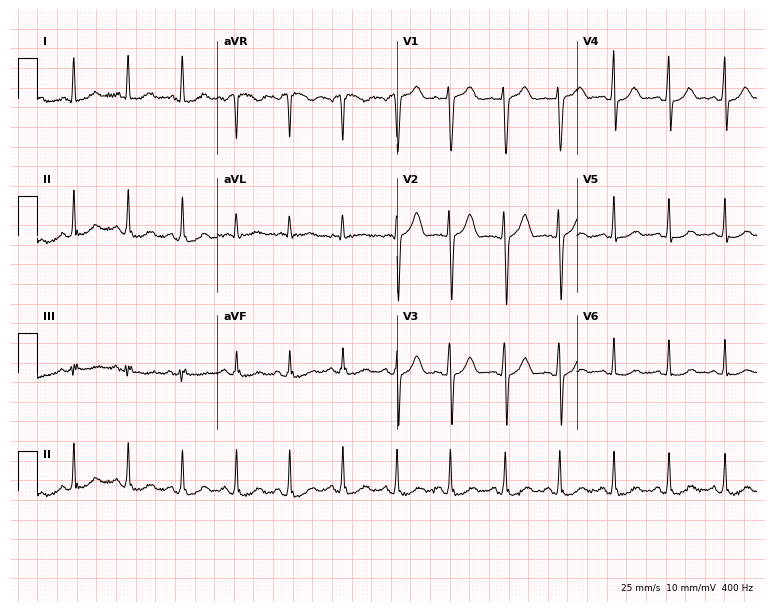
Electrocardiogram (7.3-second recording at 400 Hz), a woman, 21 years old. Of the six screened findings (first-degree AV block, right bundle branch block, left bundle branch block, sinus bradycardia, atrial fibrillation, sinus tachycardia), none is recorded.